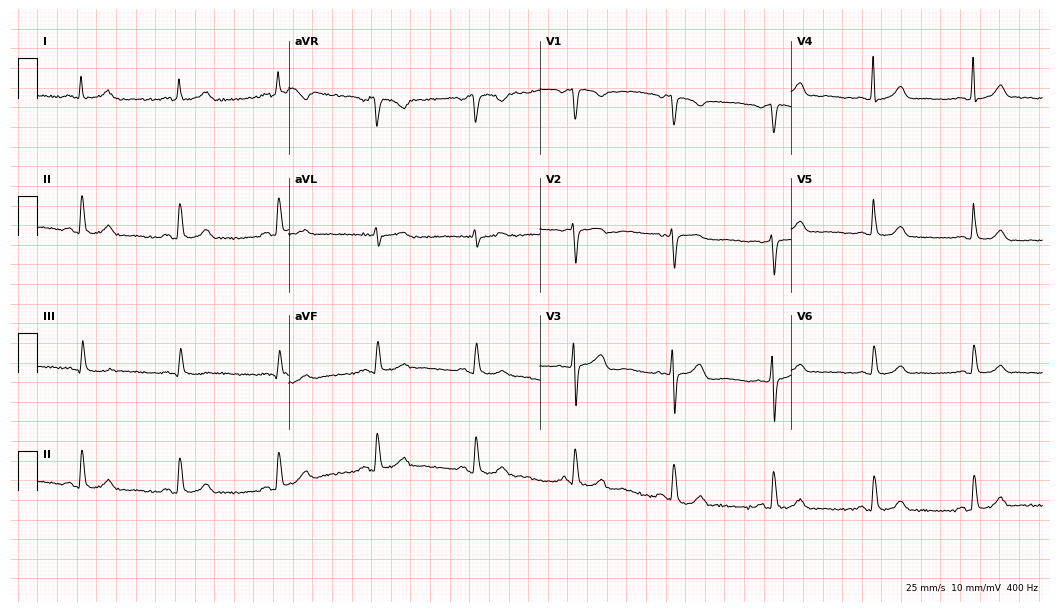
ECG — a 66-year-old woman. Labelled as a normal ECG.